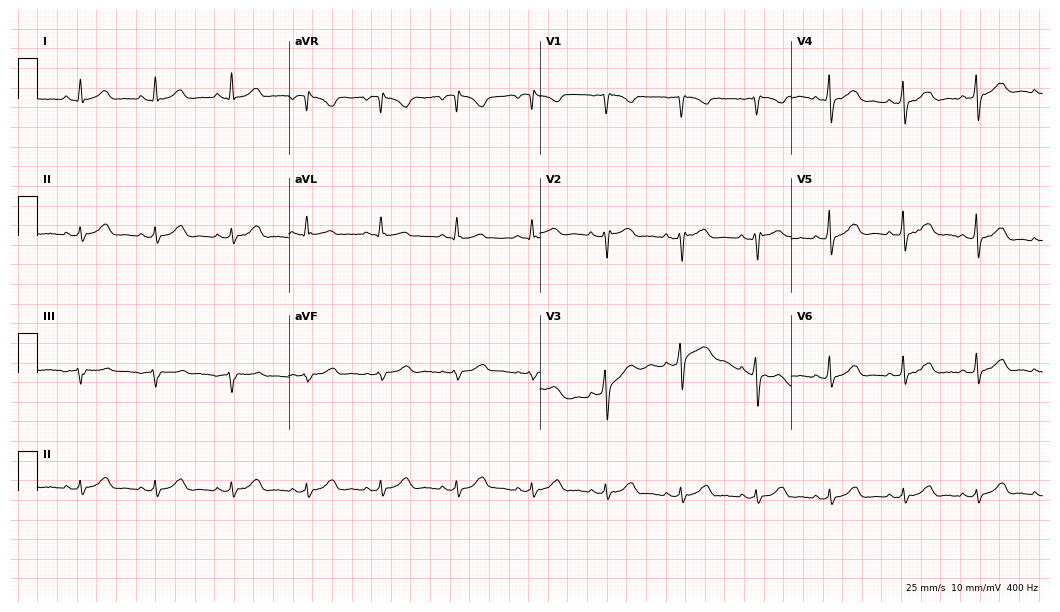
12-lead ECG from a 44-year-old female patient. Recorded interpretation: within normal limits.